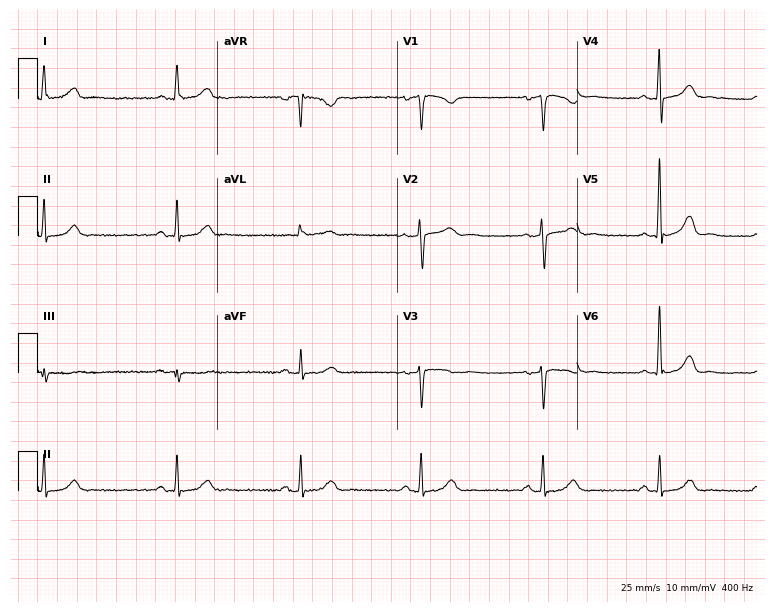
Electrocardiogram (7.3-second recording at 400 Hz), a 67-year-old female. Interpretation includes sinus bradycardia (a sinus rate of 50 beats per minute or less).